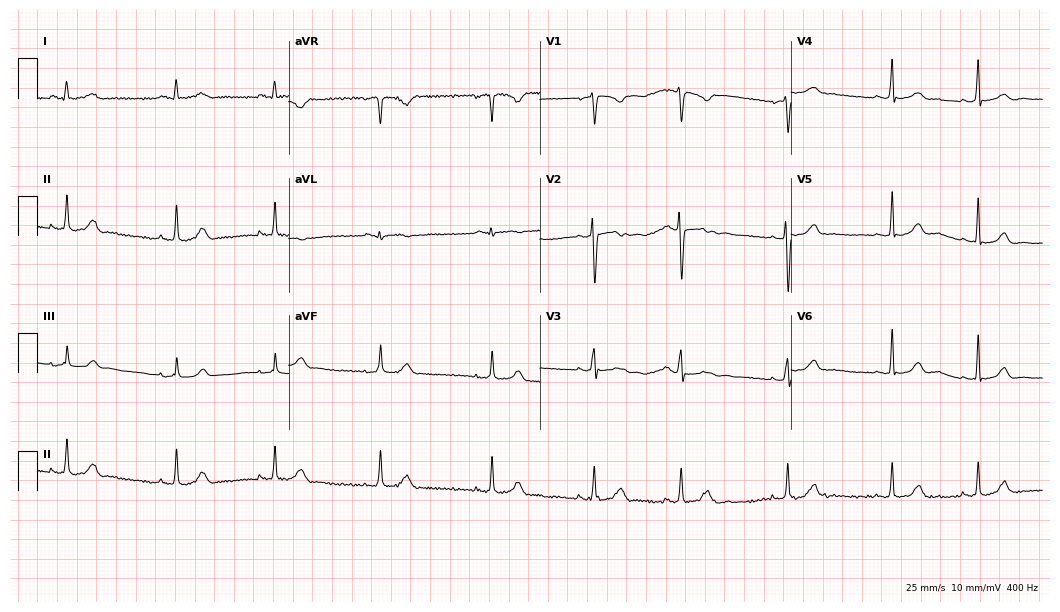
Electrocardiogram, an 18-year-old female. Overall reading on record: normal ECG.